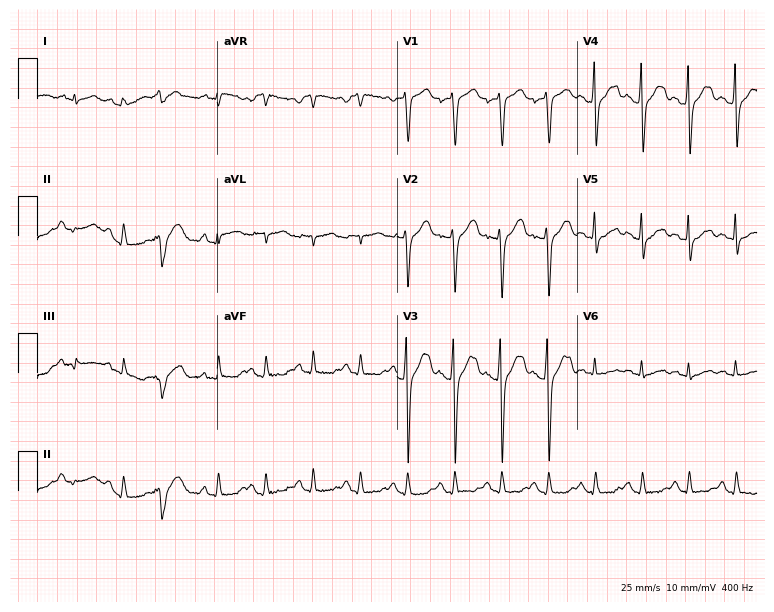
Electrocardiogram, a male patient, 57 years old. Interpretation includes sinus tachycardia (a sinus rate of 100 beats per minute or more).